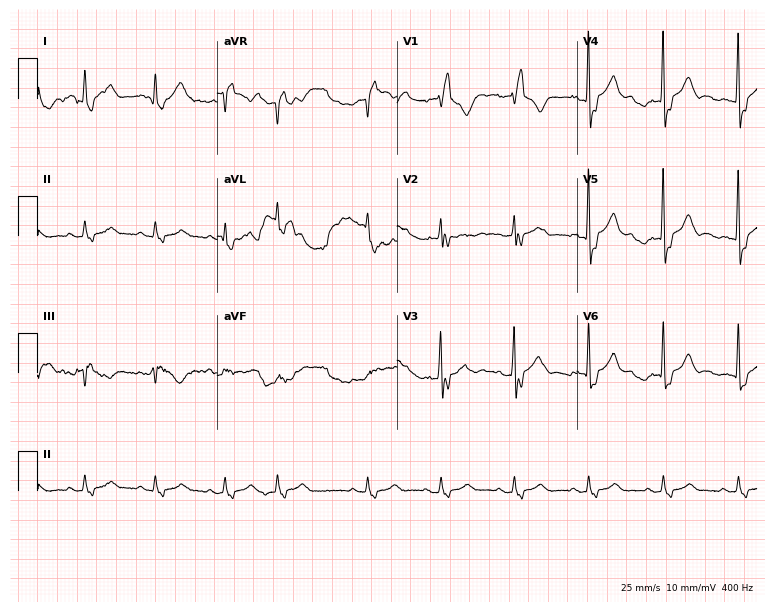
Electrocardiogram (7.3-second recording at 400 Hz), a man, 71 years old. Interpretation includes right bundle branch block (RBBB).